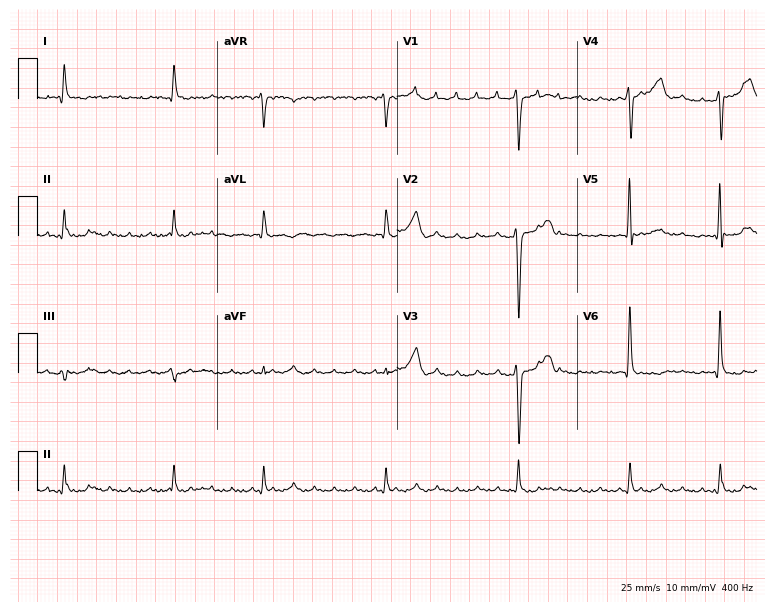
ECG (7.3-second recording at 400 Hz) — a 60-year-old man. Screened for six findings — first-degree AV block, right bundle branch block, left bundle branch block, sinus bradycardia, atrial fibrillation, sinus tachycardia — none is recorded. Findings outside these six are not listed.